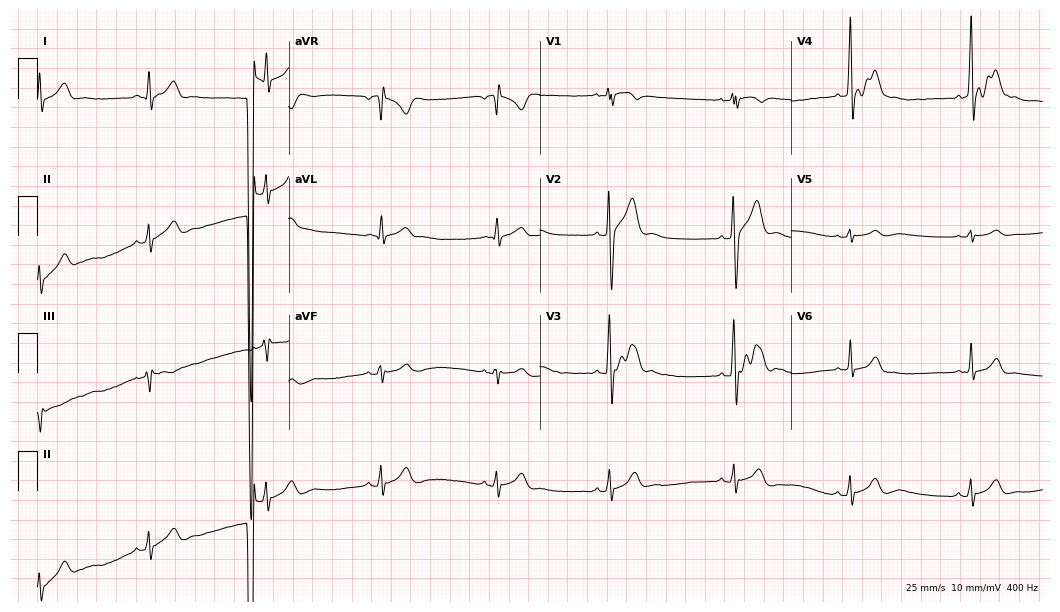
12-lead ECG from a male, 31 years old. No first-degree AV block, right bundle branch block (RBBB), left bundle branch block (LBBB), sinus bradycardia, atrial fibrillation (AF) or sinus tachycardia recorded for this tracing. Findings outside these six are not listed.